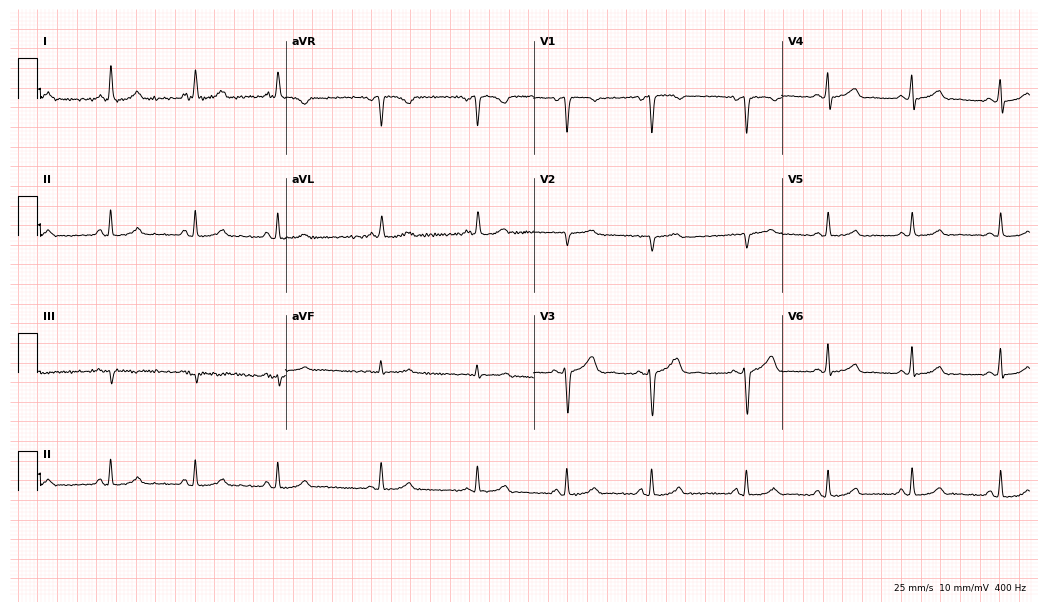
ECG — a 25-year-old female. Labelled as a normal ECG.